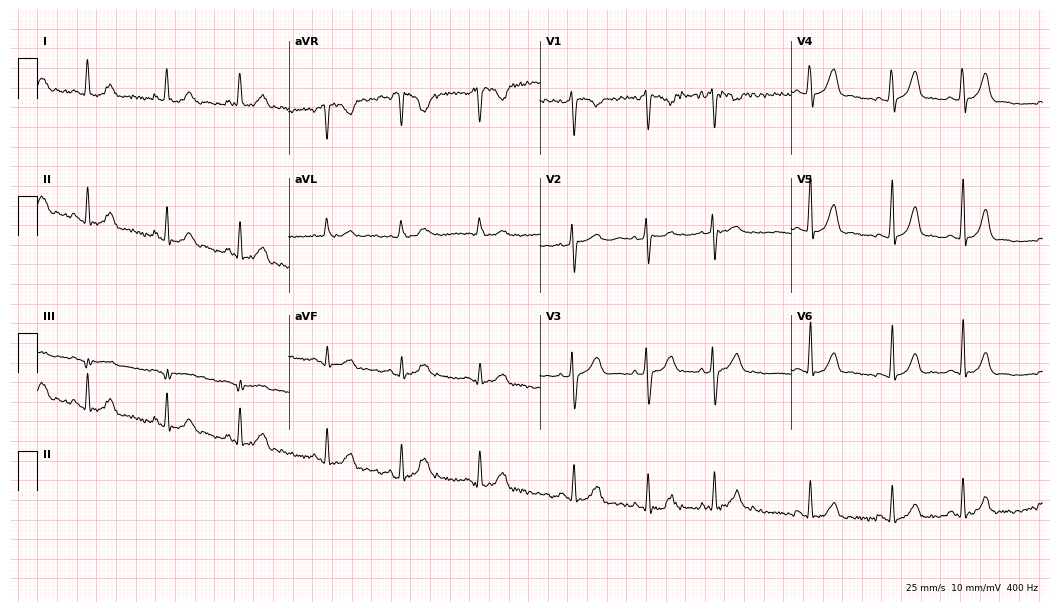
Electrocardiogram, a 27-year-old female patient. Overall reading on record: normal ECG.